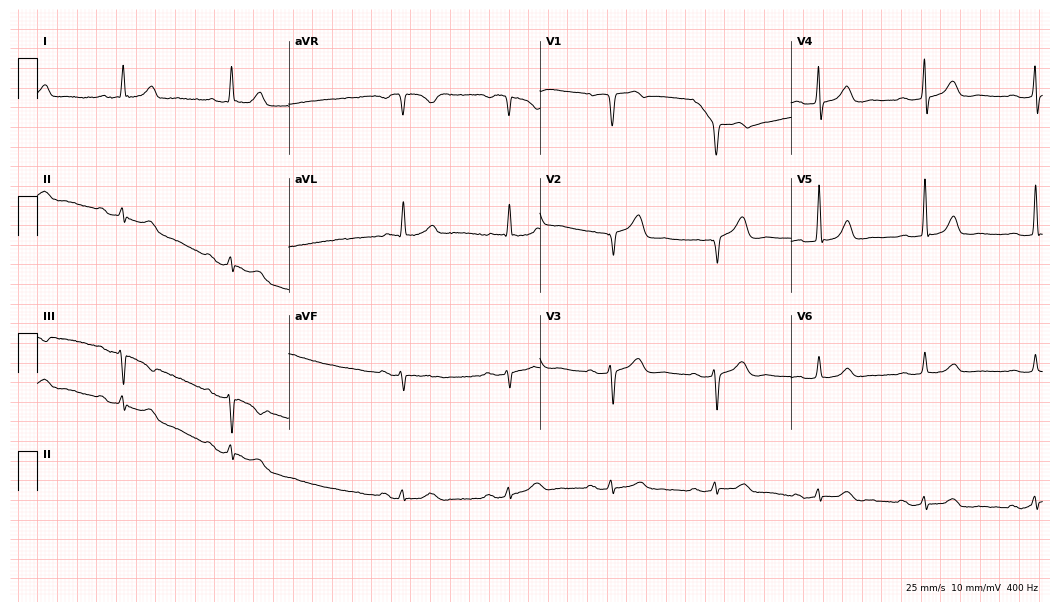
Resting 12-lead electrocardiogram. Patient: a male, 80 years old. Read as a normal ECG.